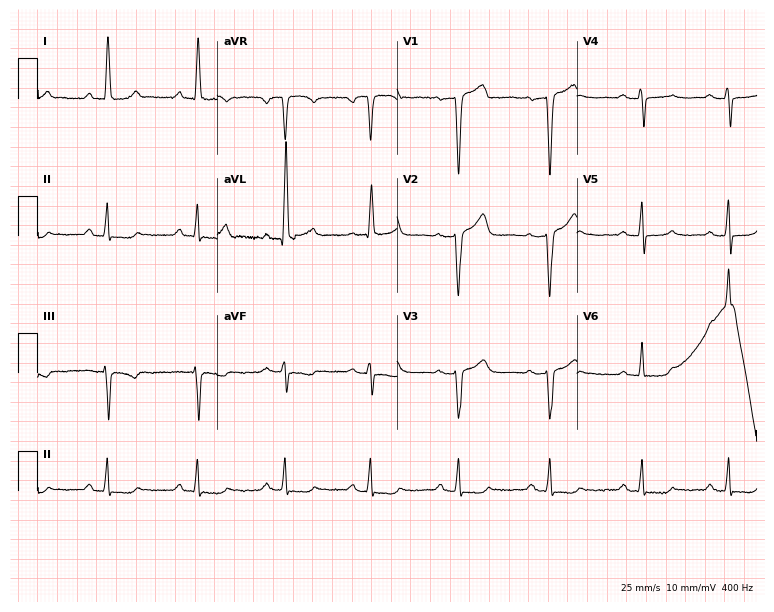
Resting 12-lead electrocardiogram. Patient: a 58-year-old female. None of these six findings is recorded: first-degree AV block, right bundle branch block, left bundle branch block, sinus bradycardia, atrial fibrillation, sinus tachycardia. Only these six findings were labelled.